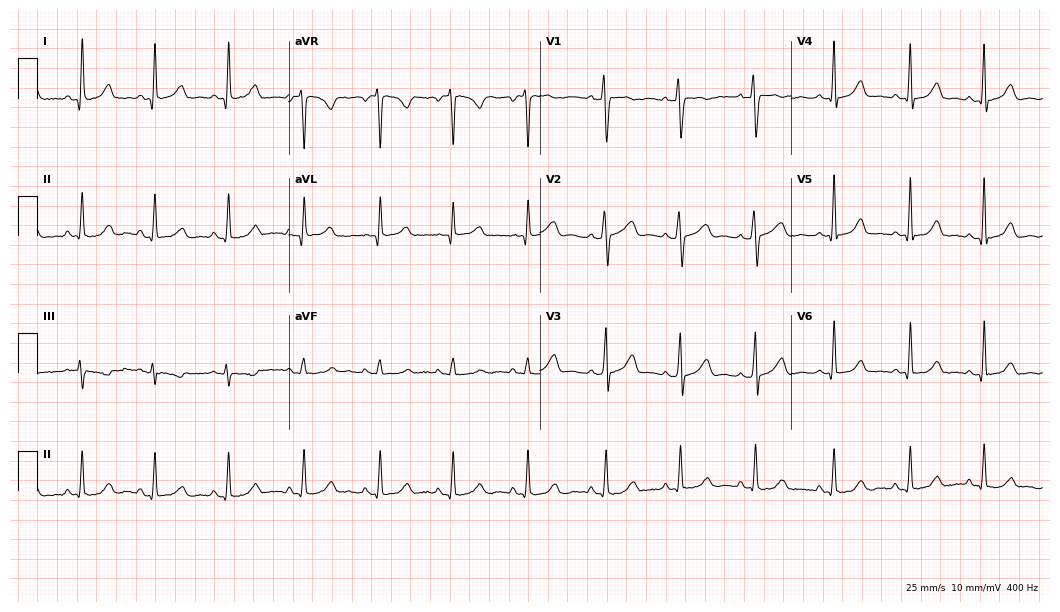
Standard 12-lead ECG recorded from a 55-year-old female patient. None of these six findings is recorded: first-degree AV block, right bundle branch block, left bundle branch block, sinus bradycardia, atrial fibrillation, sinus tachycardia. Findings outside these six are not listed.